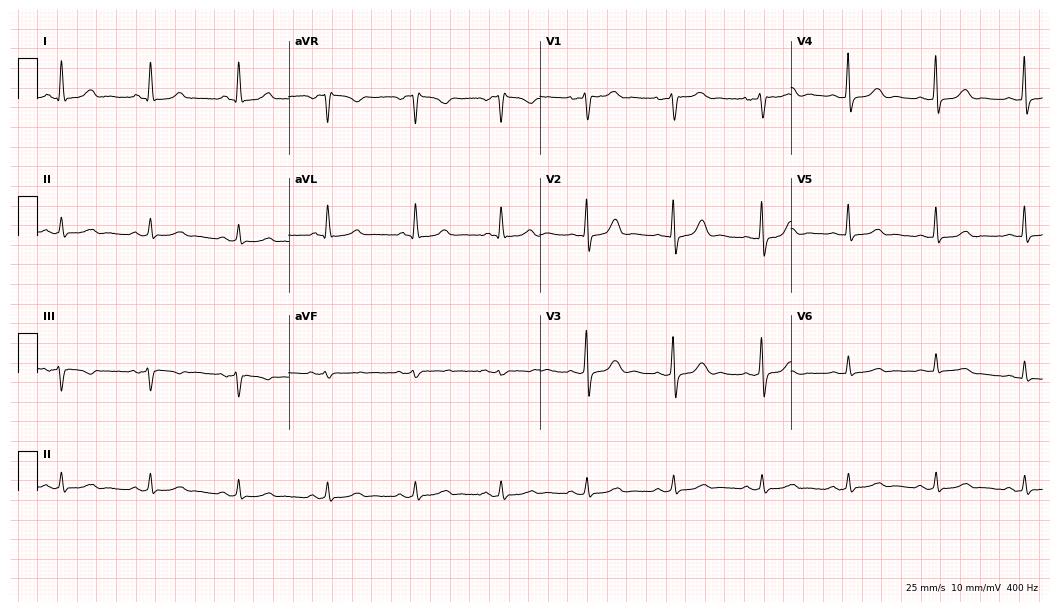
12-lead ECG (10.2-second recording at 400 Hz) from a 63-year-old female patient. Screened for six findings — first-degree AV block, right bundle branch block, left bundle branch block, sinus bradycardia, atrial fibrillation, sinus tachycardia — none is recorded. Findings outside these six are not listed.